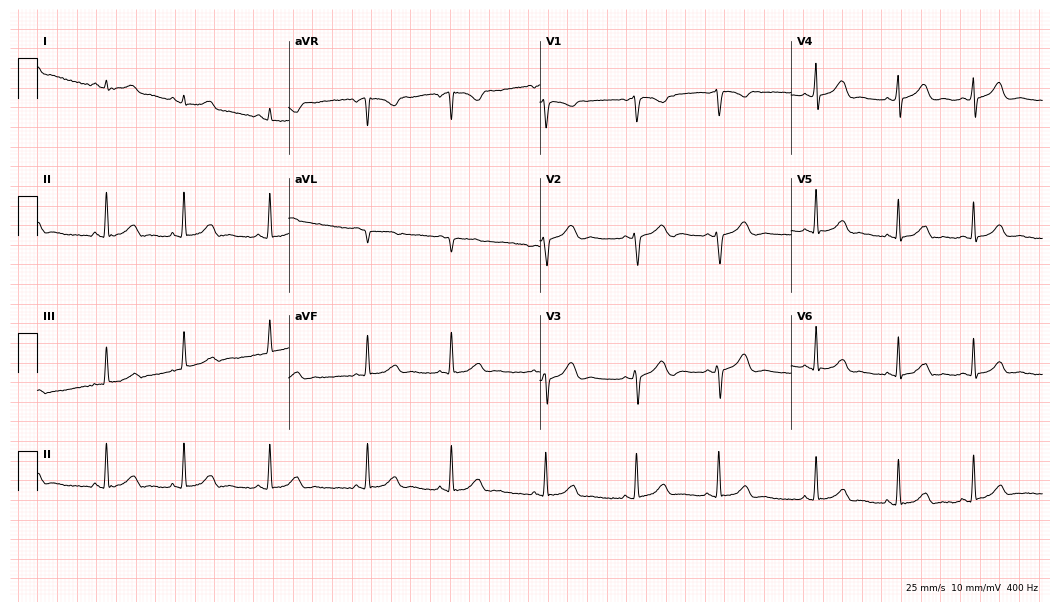
12-lead ECG (10.2-second recording at 400 Hz) from an 18-year-old female. Screened for six findings — first-degree AV block, right bundle branch block, left bundle branch block, sinus bradycardia, atrial fibrillation, sinus tachycardia — none is recorded. Other findings, if any, are not listed.